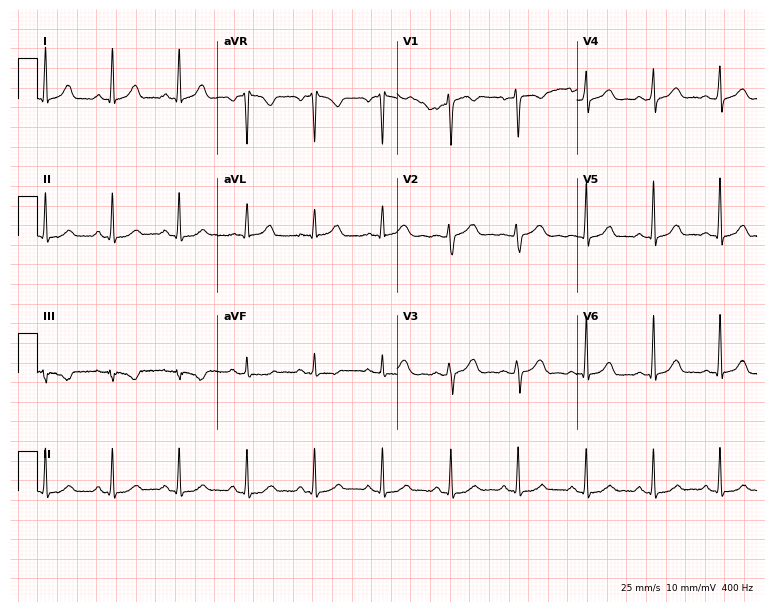
Resting 12-lead electrocardiogram. Patient: a woman, 33 years old. Read as a normal ECG.